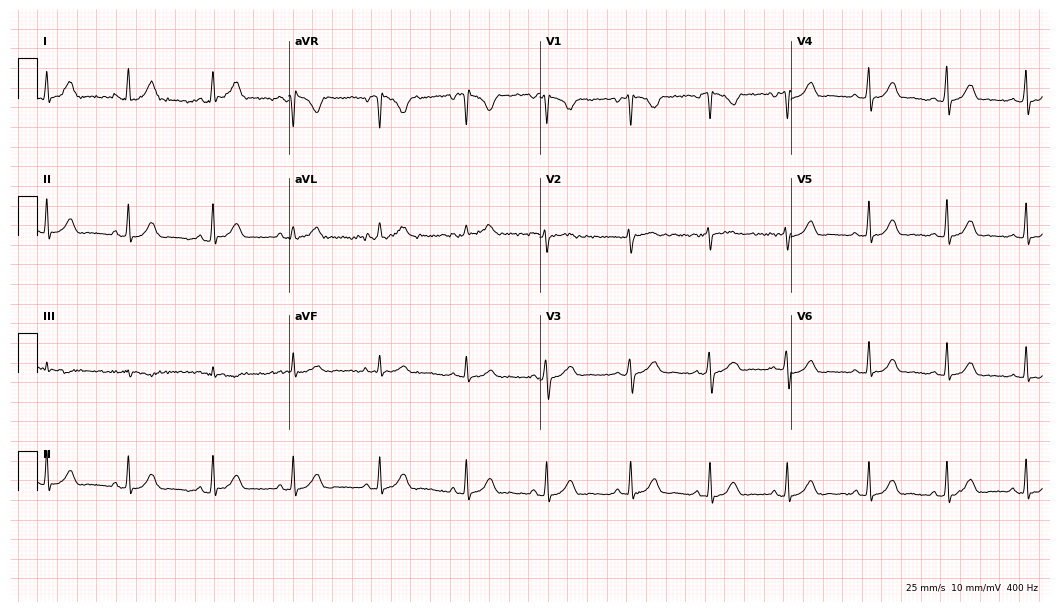
Standard 12-lead ECG recorded from a female, 28 years old (10.2-second recording at 400 Hz). Read as a normal ECG.